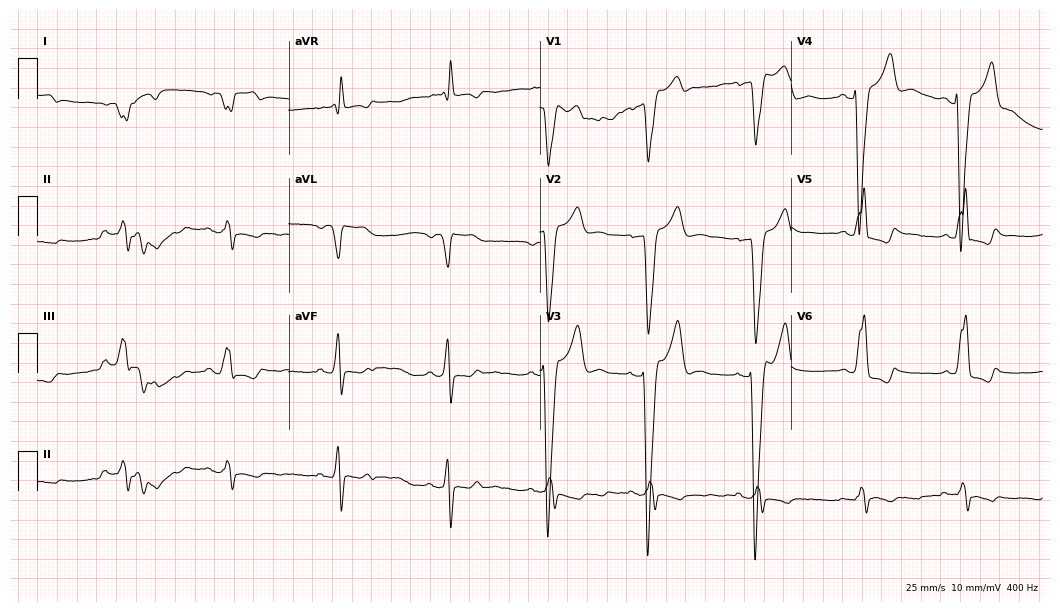
12-lead ECG from a man, 46 years old. No first-degree AV block, right bundle branch block (RBBB), left bundle branch block (LBBB), sinus bradycardia, atrial fibrillation (AF) or sinus tachycardia recorded for this tracing.